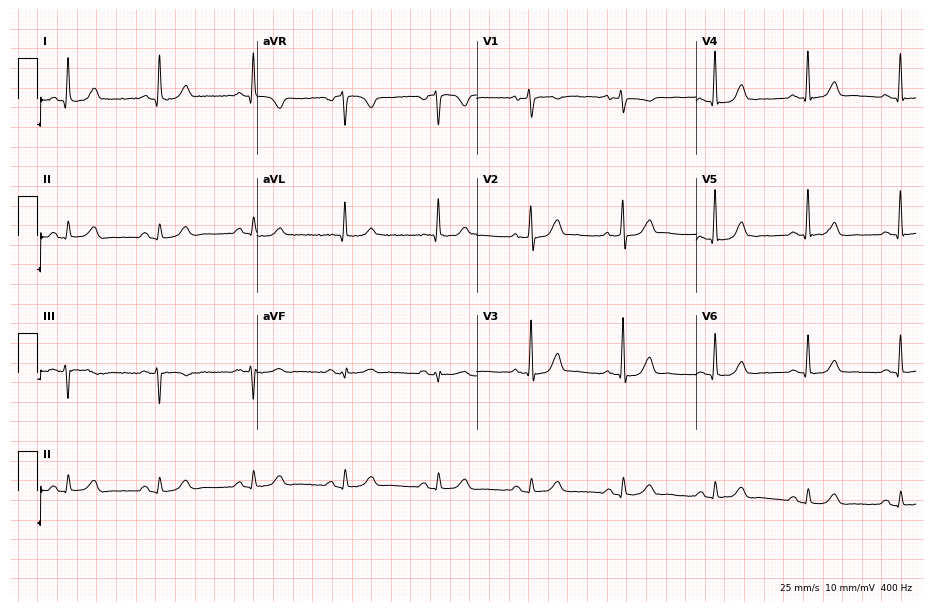
Standard 12-lead ECG recorded from a 58-year-old female. None of these six findings is recorded: first-degree AV block, right bundle branch block (RBBB), left bundle branch block (LBBB), sinus bradycardia, atrial fibrillation (AF), sinus tachycardia.